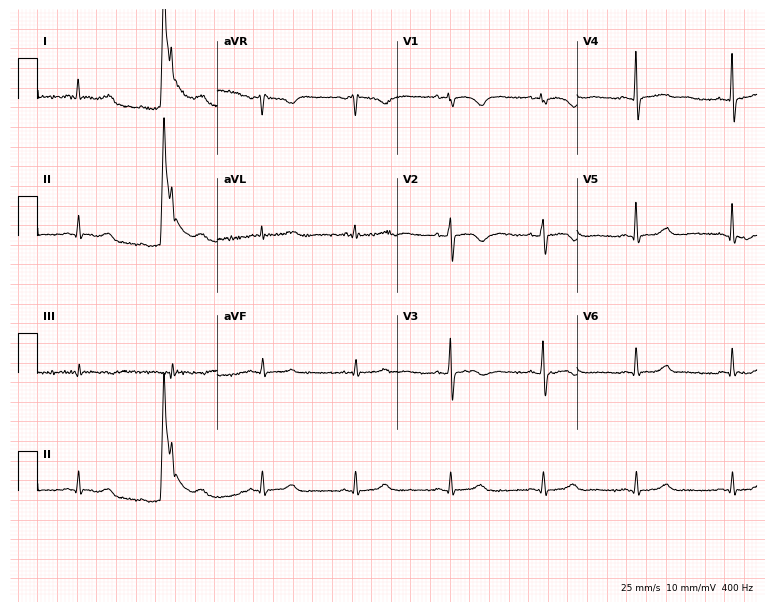
Standard 12-lead ECG recorded from a female patient, 43 years old. Read as a normal ECG.